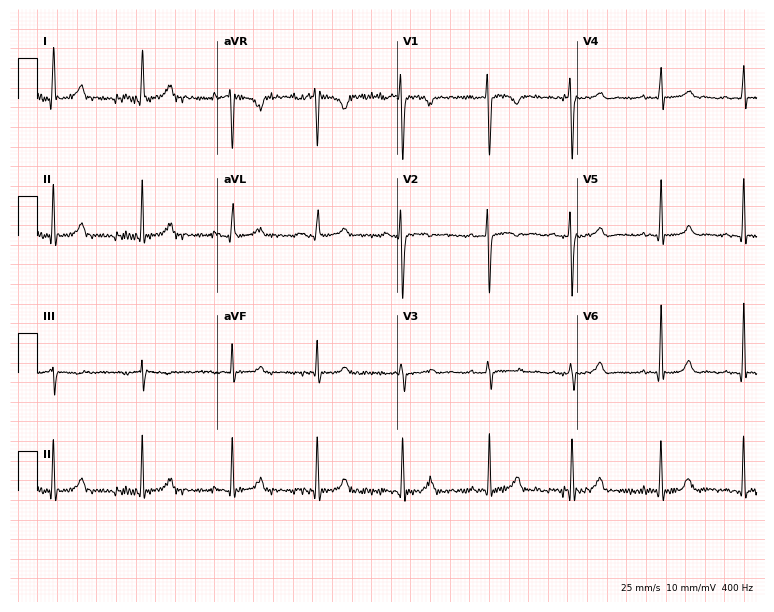
ECG — a 31-year-old woman. Labelled as a normal ECG.